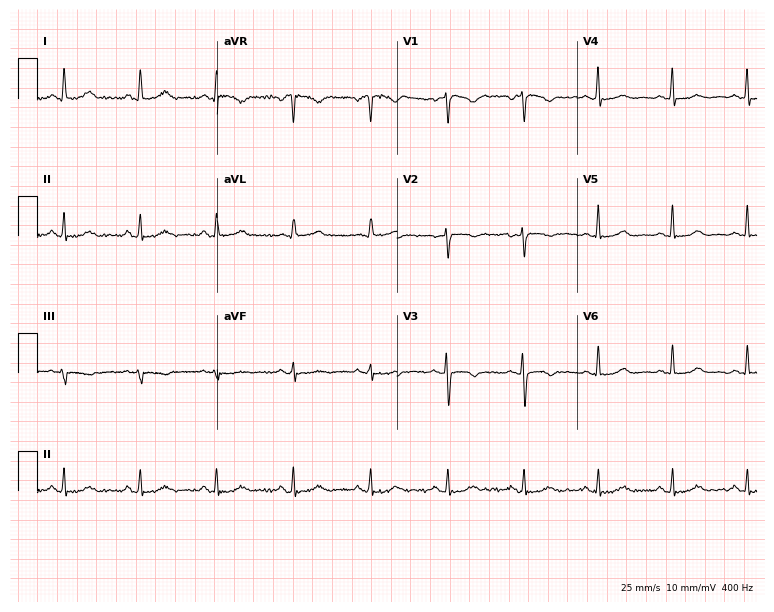
Electrocardiogram, a female, 48 years old. Overall reading on record: normal ECG.